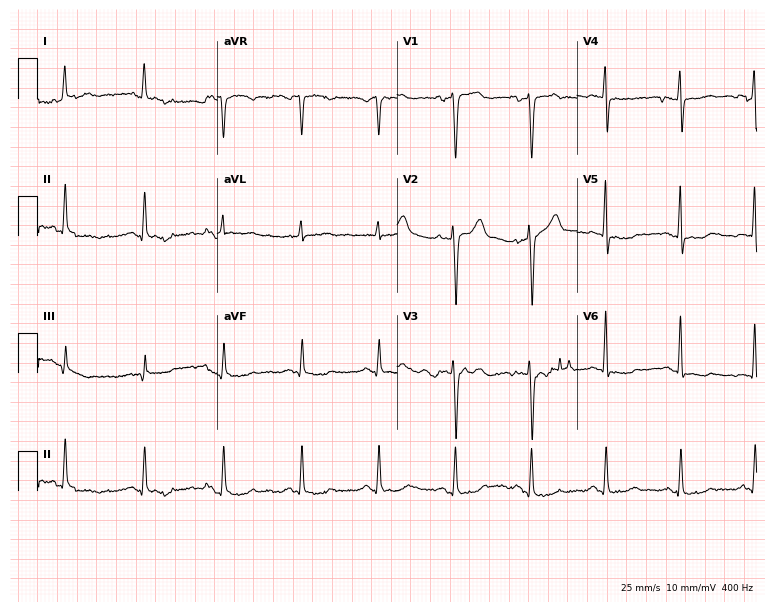
12-lead ECG (7.3-second recording at 400 Hz) from a 61-year-old female patient. Screened for six findings — first-degree AV block, right bundle branch block, left bundle branch block, sinus bradycardia, atrial fibrillation, sinus tachycardia — none is recorded. Other findings, if any, are not listed.